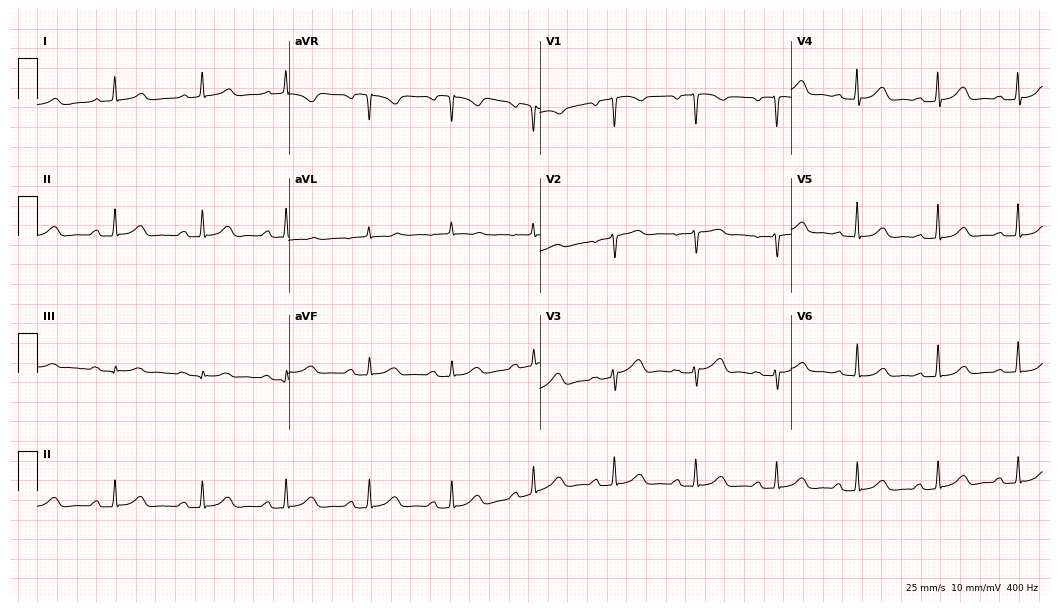
Resting 12-lead electrocardiogram. Patient: a 64-year-old female. Read as a normal ECG.